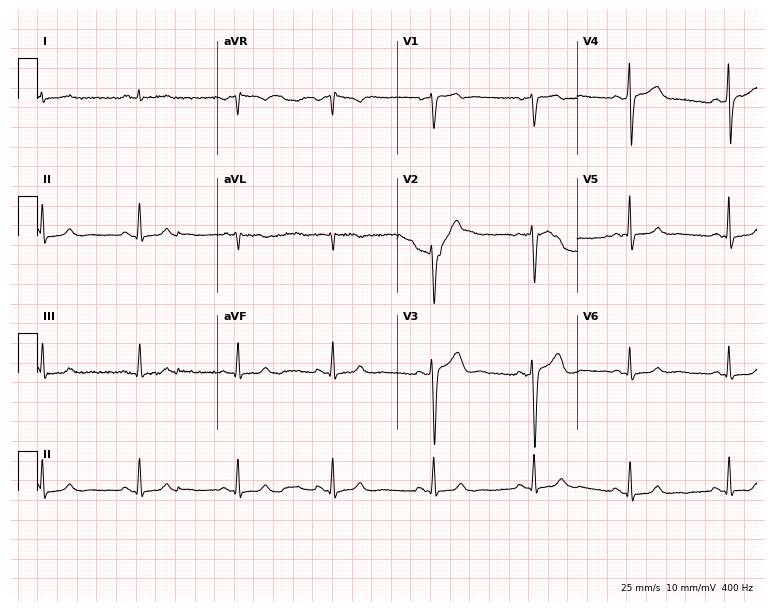
Resting 12-lead electrocardiogram (7.3-second recording at 400 Hz). Patient: a 56-year-old male. Read as a normal ECG.